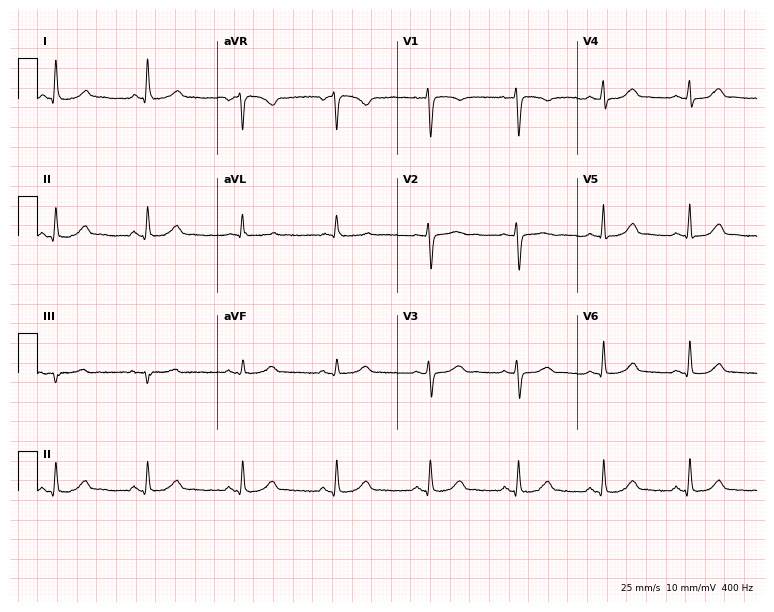
Resting 12-lead electrocardiogram (7.3-second recording at 400 Hz). Patient: a female, 54 years old. Read as a normal ECG.